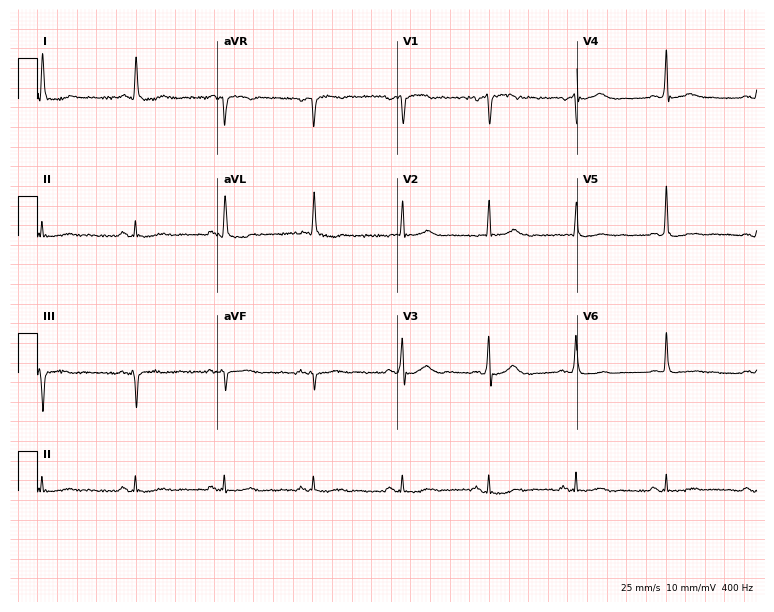
ECG (7.3-second recording at 400 Hz) — a man, 85 years old. Labelled as a normal ECG.